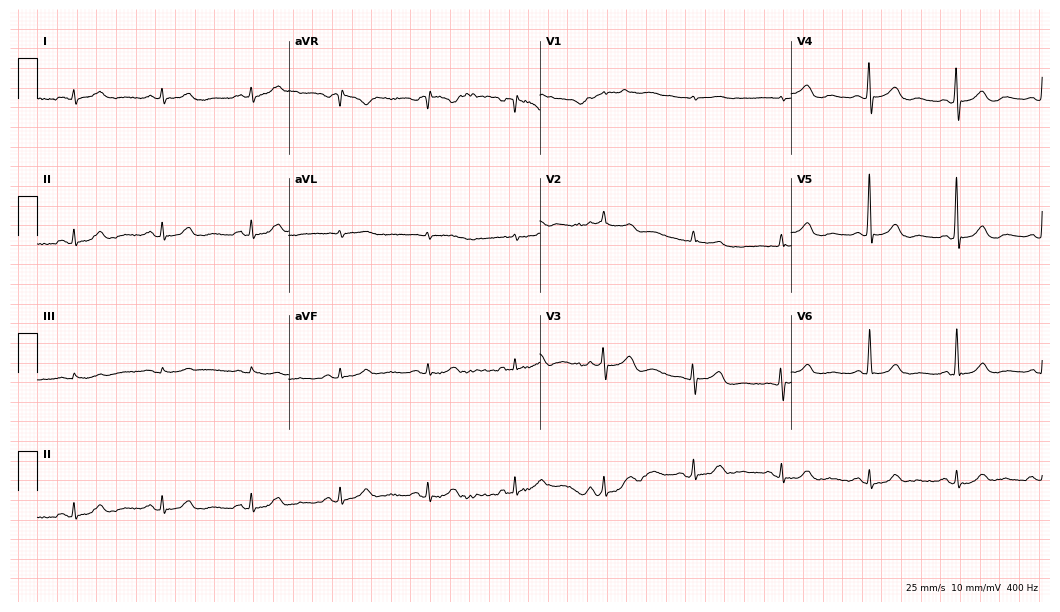
Resting 12-lead electrocardiogram. Patient: a 78-year-old female. Read as a normal ECG.